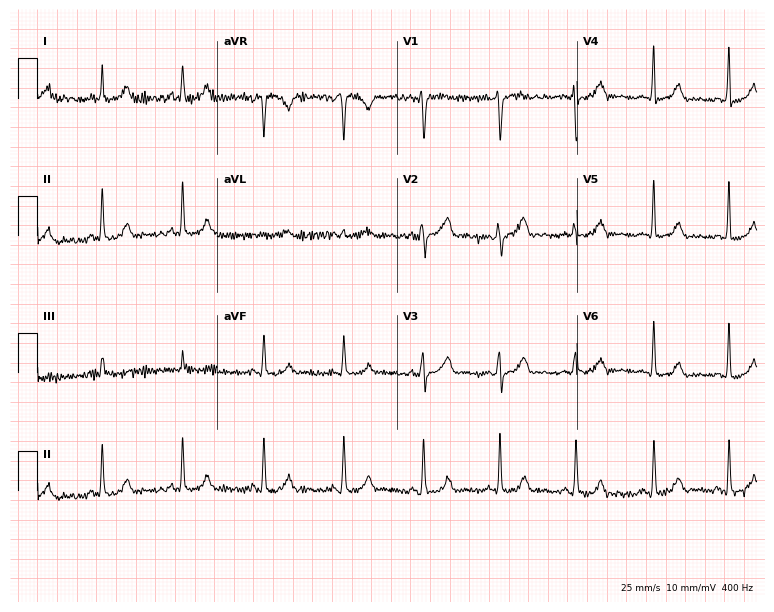
Resting 12-lead electrocardiogram. Patient: a 32-year-old woman. None of these six findings is recorded: first-degree AV block, right bundle branch block, left bundle branch block, sinus bradycardia, atrial fibrillation, sinus tachycardia. Findings outside these six are not listed.